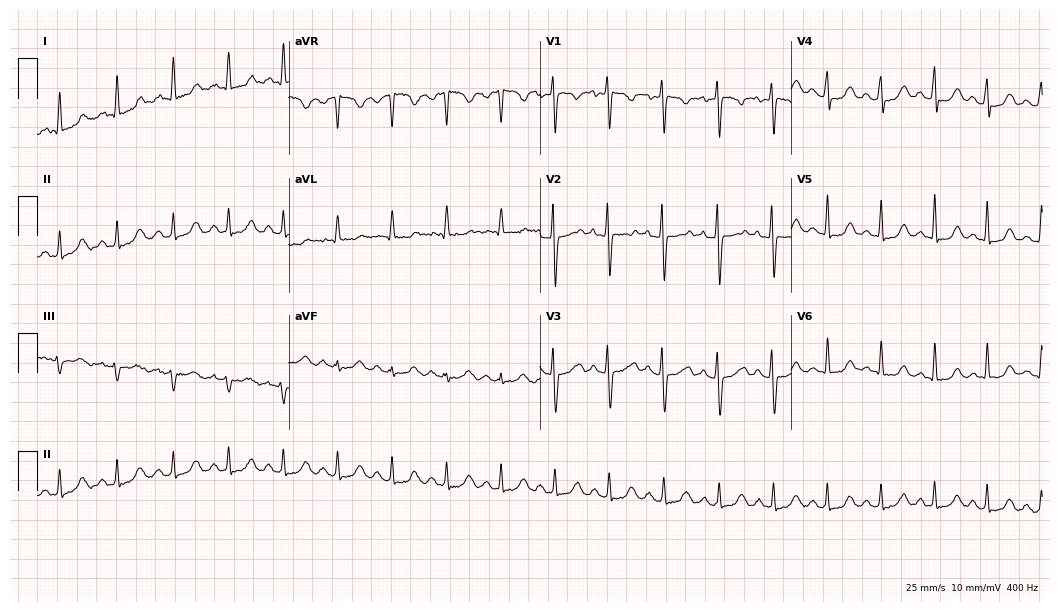
ECG (10.2-second recording at 400 Hz) — a 33-year-old female. Findings include sinus tachycardia (a sinus rate of 100 beats per minute or more).